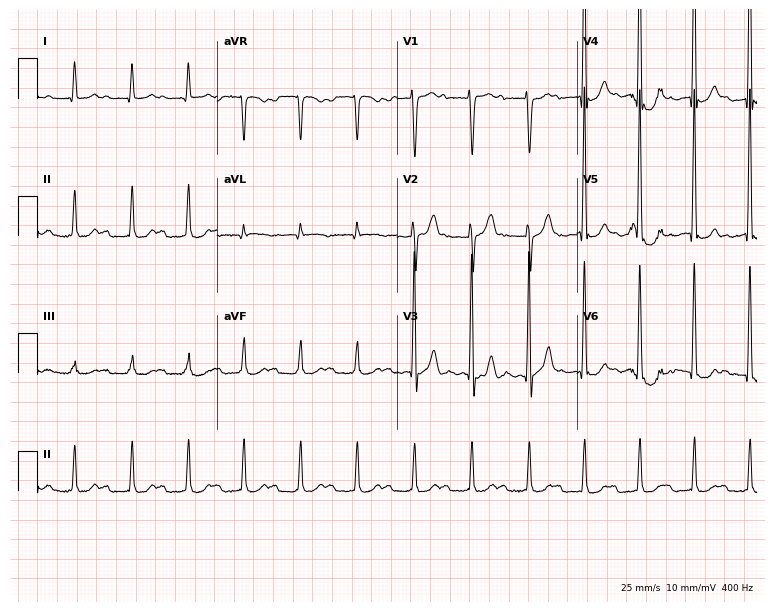
Resting 12-lead electrocardiogram (7.3-second recording at 400 Hz). Patient: a 75-year-old male. Read as a normal ECG.